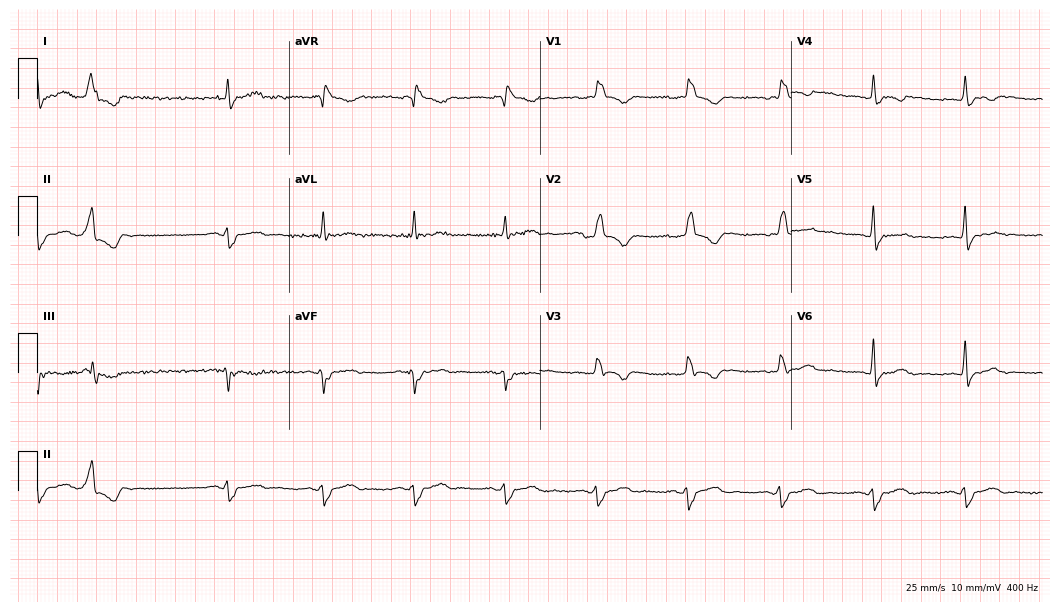
Electrocardiogram, a woman, 40 years old. Of the six screened findings (first-degree AV block, right bundle branch block (RBBB), left bundle branch block (LBBB), sinus bradycardia, atrial fibrillation (AF), sinus tachycardia), none is recorded. Only these six findings were labelled.